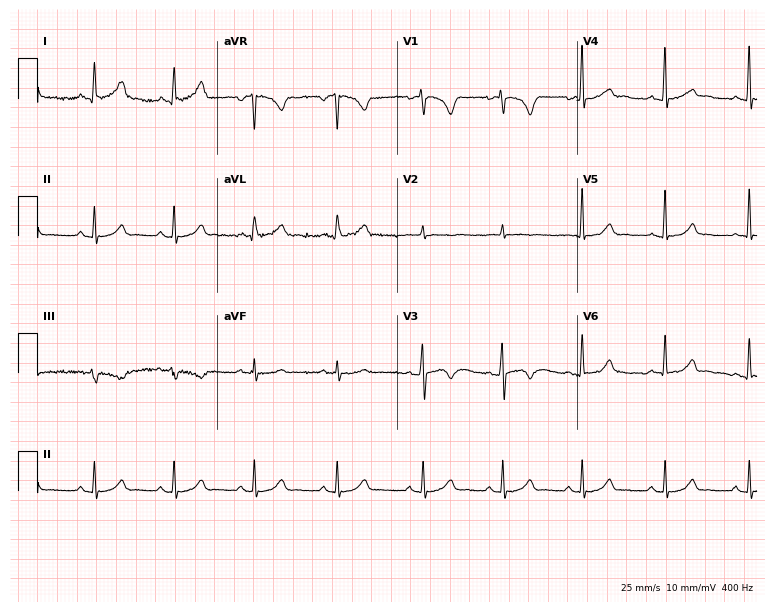
Resting 12-lead electrocardiogram. Patient: a woman, 24 years old. Read as a normal ECG.